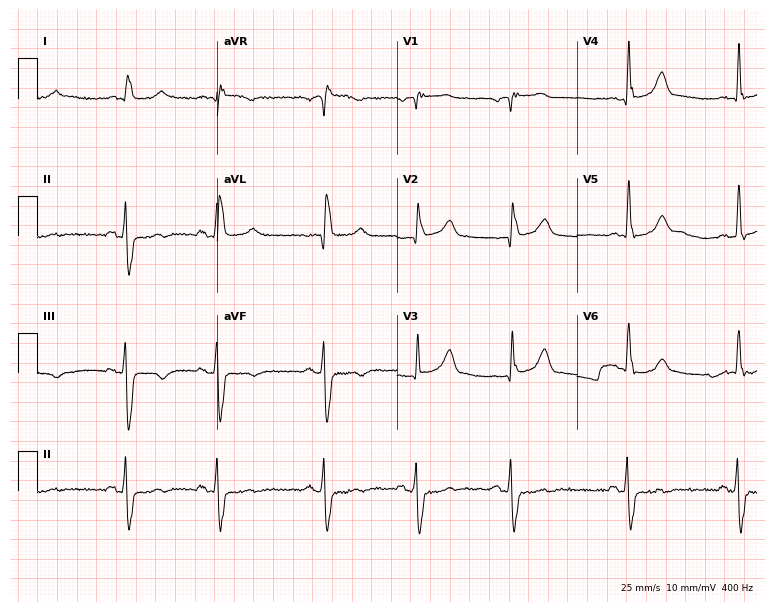
12-lead ECG from a male patient, 81 years old (7.3-second recording at 400 Hz). Shows right bundle branch block.